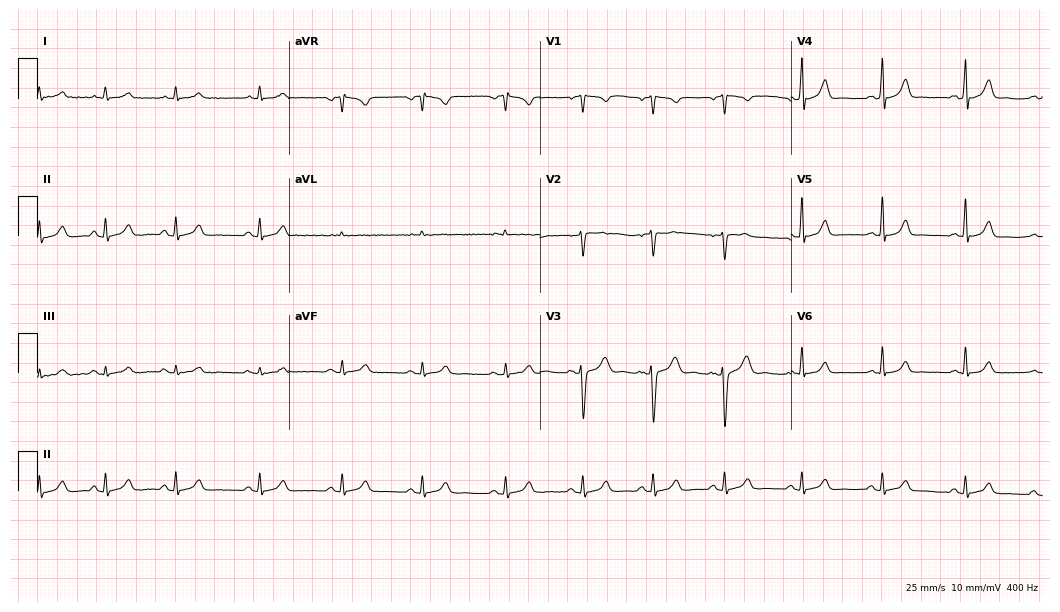
Resting 12-lead electrocardiogram. Patient: a female, 24 years old. Read as a normal ECG.